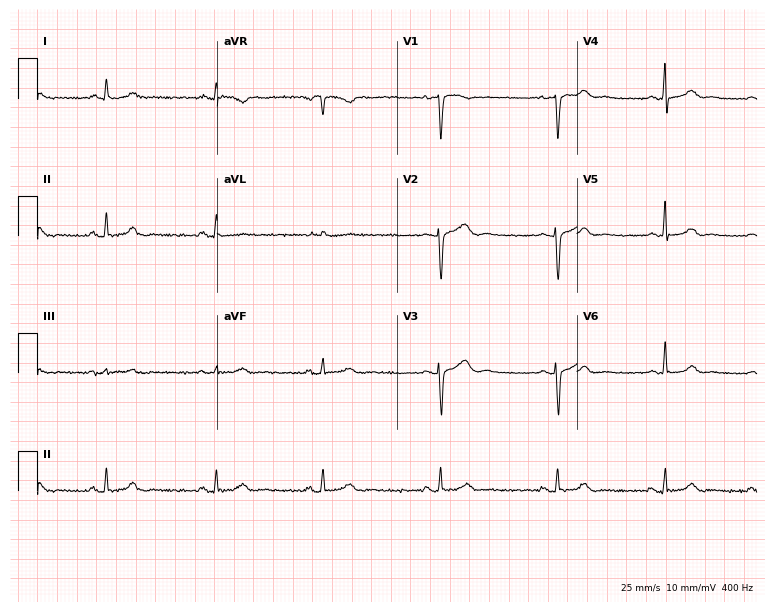
Resting 12-lead electrocardiogram. Patient: a female, 42 years old. None of these six findings is recorded: first-degree AV block, right bundle branch block, left bundle branch block, sinus bradycardia, atrial fibrillation, sinus tachycardia. Other findings, if any, are not listed.